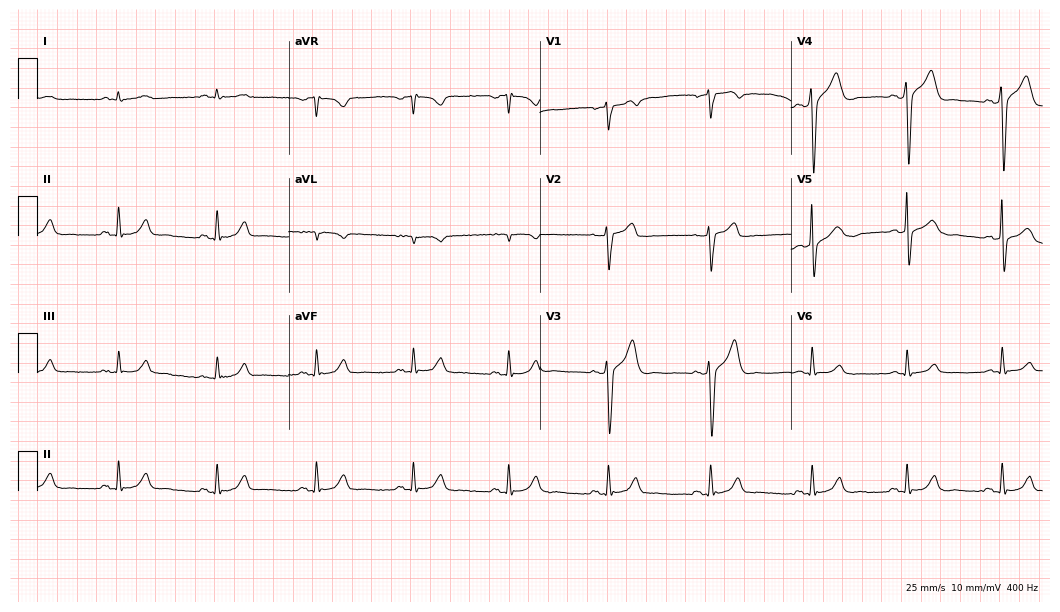
Standard 12-lead ECG recorded from a 76-year-old man. None of these six findings is recorded: first-degree AV block, right bundle branch block, left bundle branch block, sinus bradycardia, atrial fibrillation, sinus tachycardia.